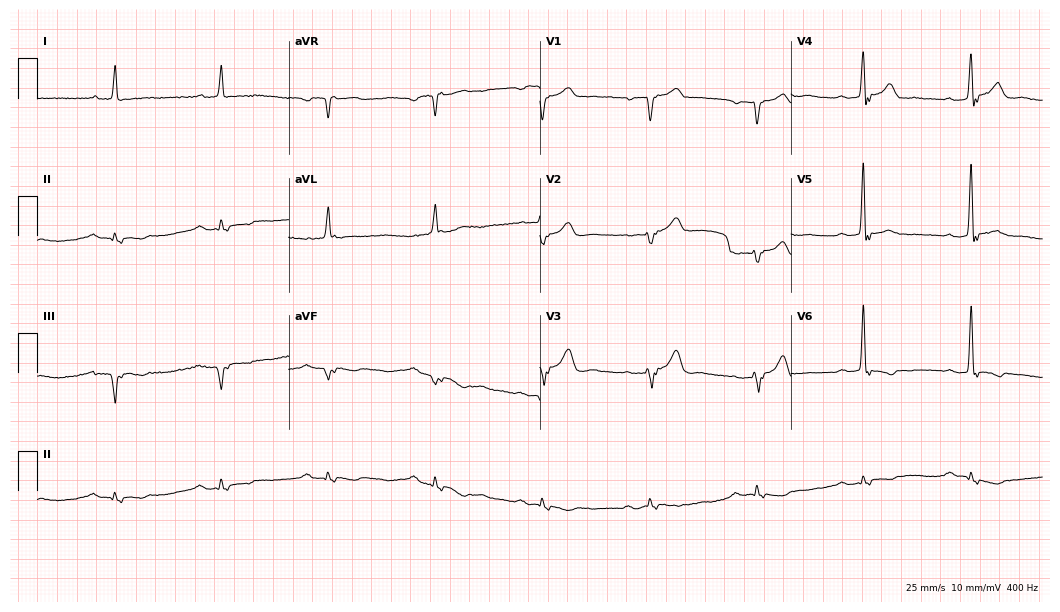
Resting 12-lead electrocardiogram. Patient: a 62-year-old woman. None of these six findings is recorded: first-degree AV block, right bundle branch block (RBBB), left bundle branch block (LBBB), sinus bradycardia, atrial fibrillation (AF), sinus tachycardia.